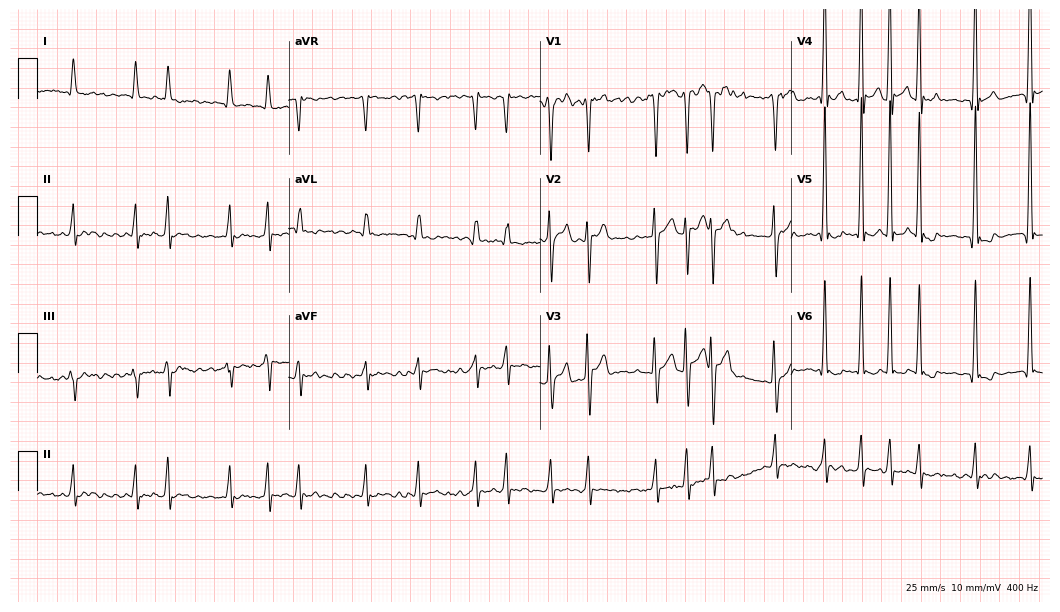
ECG (10.2-second recording at 400 Hz) — a 41-year-old male patient. Findings include atrial fibrillation (AF).